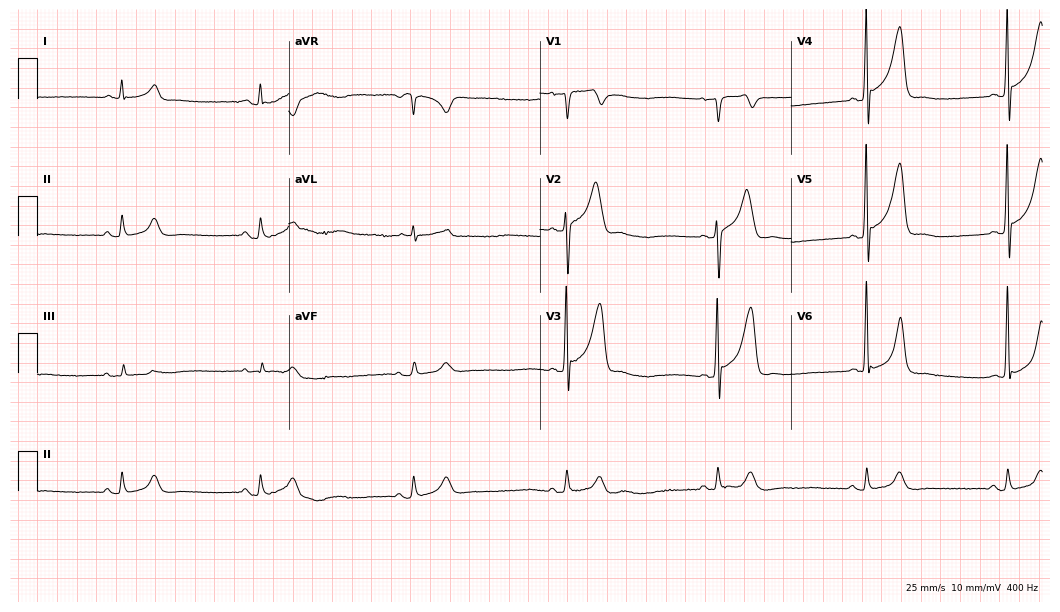
ECG — a male patient, 67 years old. Findings include sinus bradycardia (a sinus rate of 50 beats per minute or less).